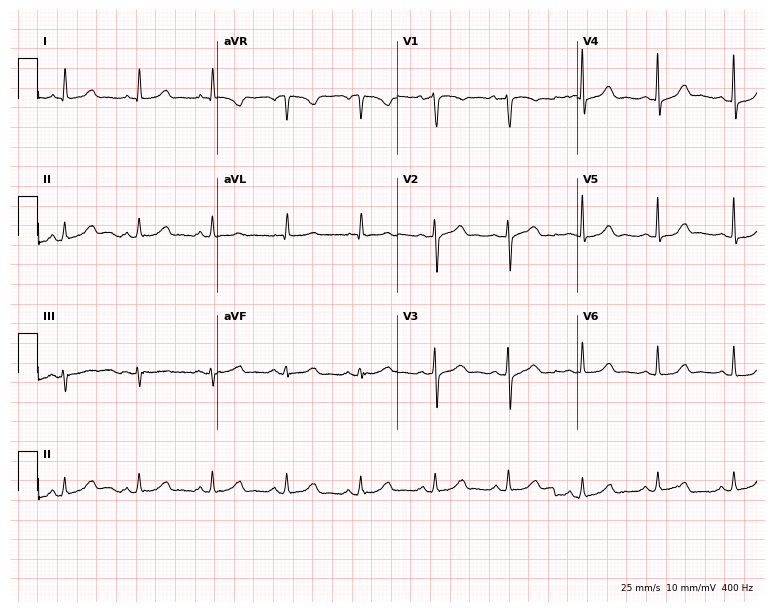
Standard 12-lead ECG recorded from a 64-year-old female patient. None of these six findings is recorded: first-degree AV block, right bundle branch block, left bundle branch block, sinus bradycardia, atrial fibrillation, sinus tachycardia.